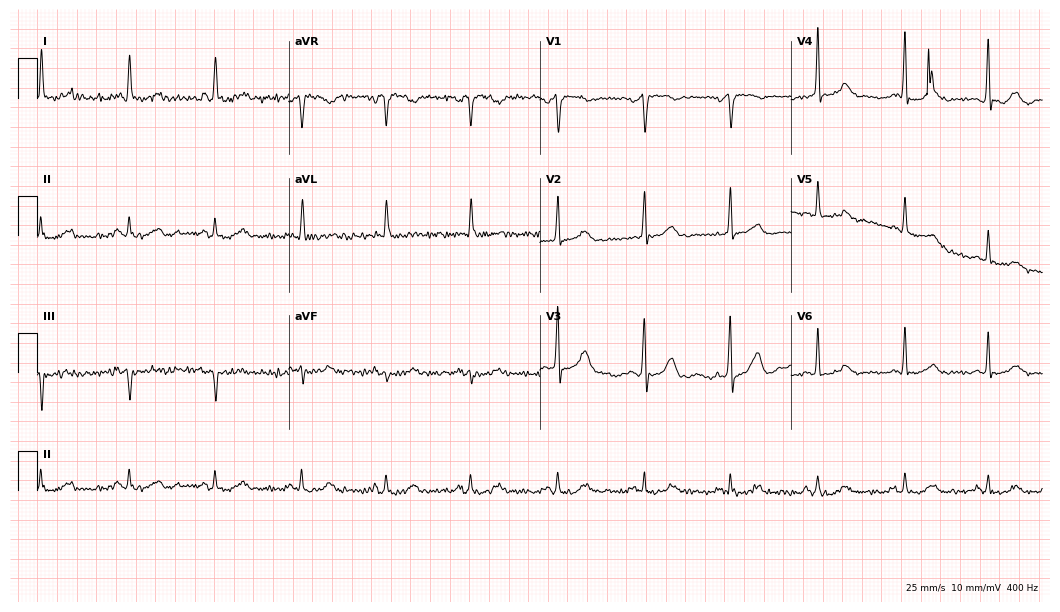
Resting 12-lead electrocardiogram (10.2-second recording at 400 Hz). Patient: a 73-year-old man. Read as a normal ECG.